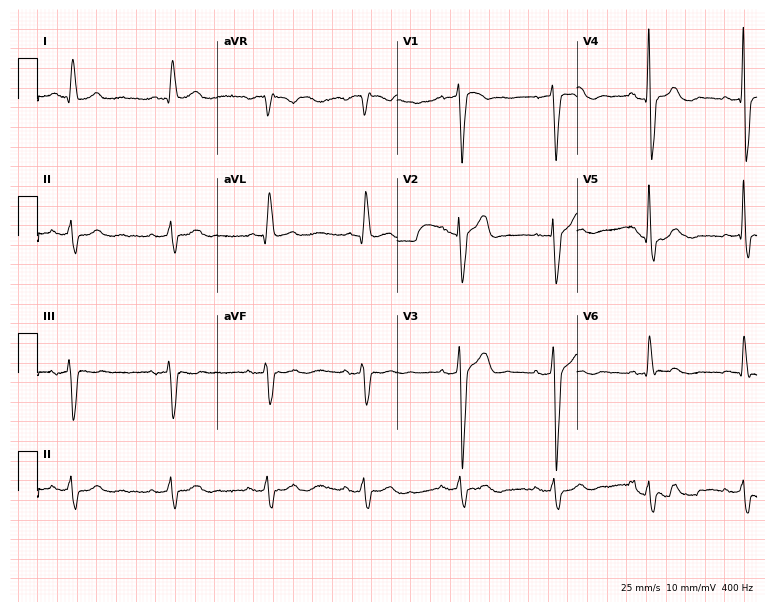
Resting 12-lead electrocardiogram (7.3-second recording at 400 Hz). Patient: a 72-year-old male. None of these six findings is recorded: first-degree AV block, right bundle branch block, left bundle branch block, sinus bradycardia, atrial fibrillation, sinus tachycardia.